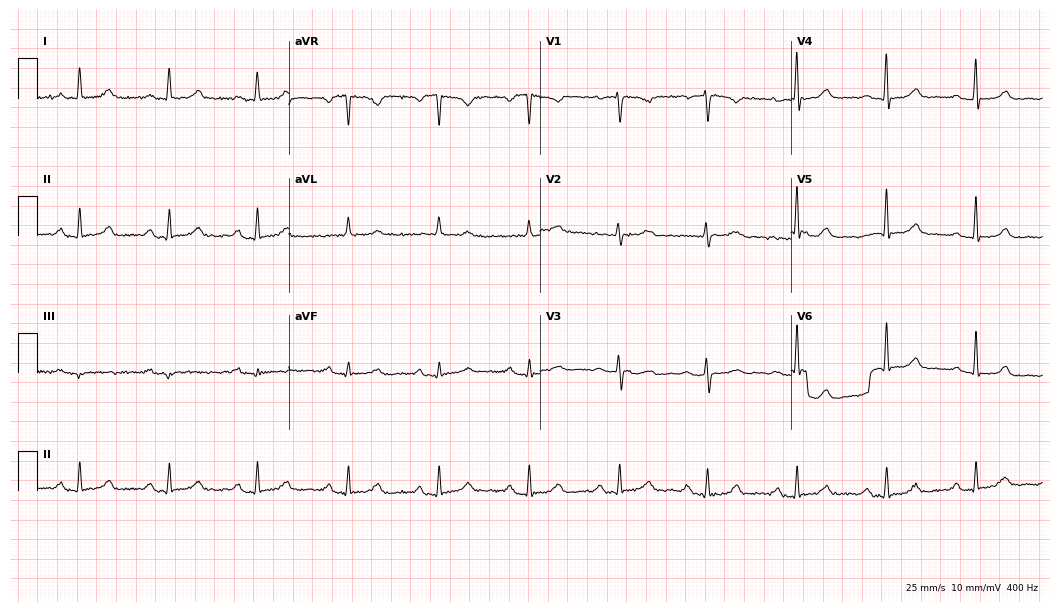
Electrocardiogram, a woman, 54 years old. Interpretation includes first-degree AV block.